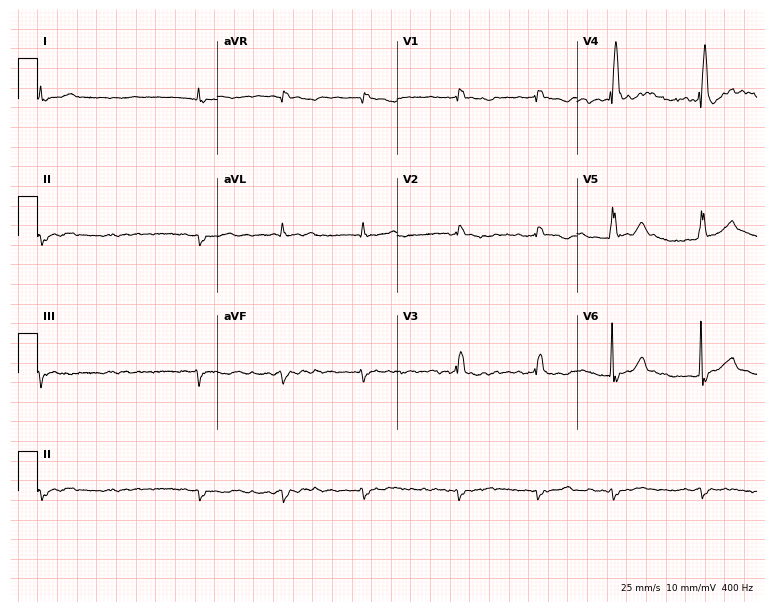
Standard 12-lead ECG recorded from a 67-year-old male. None of these six findings is recorded: first-degree AV block, right bundle branch block, left bundle branch block, sinus bradycardia, atrial fibrillation, sinus tachycardia. Other findings, if any, are not listed.